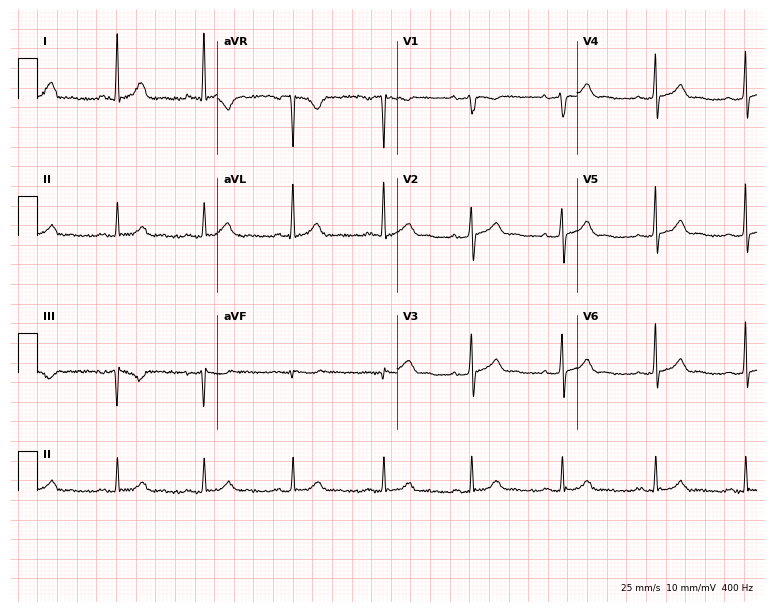
12-lead ECG (7.3-second recording at 400 Hz) from a woman, 49 years old. Labelled as a normal ECG.